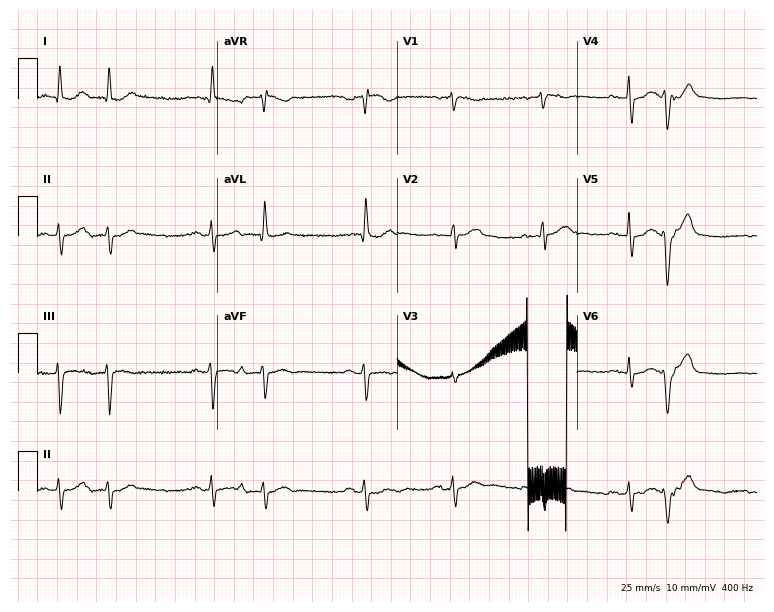
Electrocardiogram, a 73-year-old male. Of the six screened findings (first-degree AV block, right bundle branch block, left bundle branch block, sinus bradycardia, atrial fibrillation, sinus tachycardia), none is recorded.